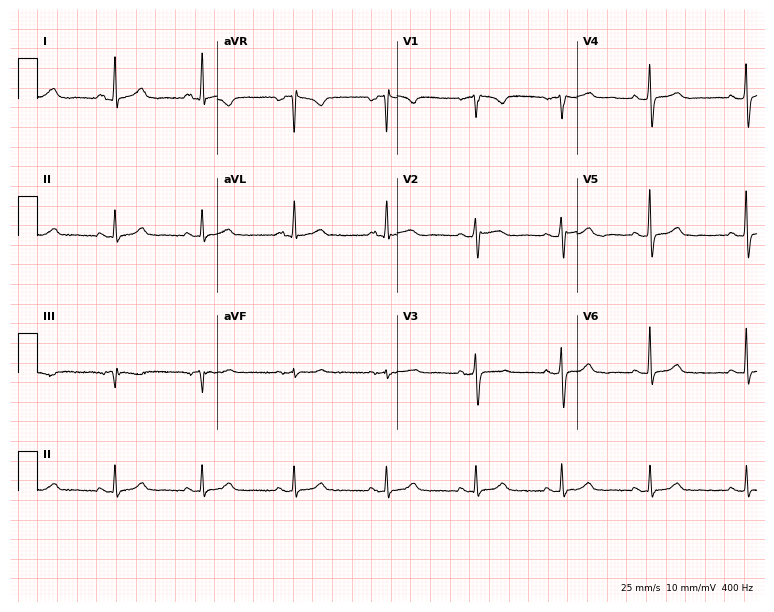
12-lead ECG (7.3-second recording at 400 Hz) from a female patient, 62 years old. Labelled as a normal ECG.